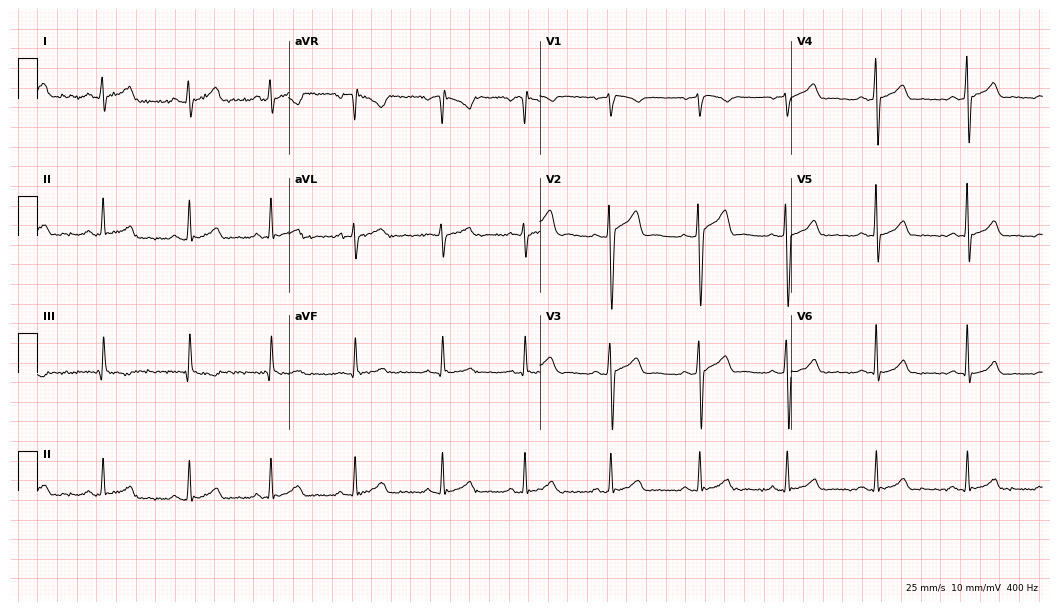
Resting 12-lead electrocardiogram (10.2-second recording at 400 Hz). Patient: a 33-year-old man. Read as a normal ECG.